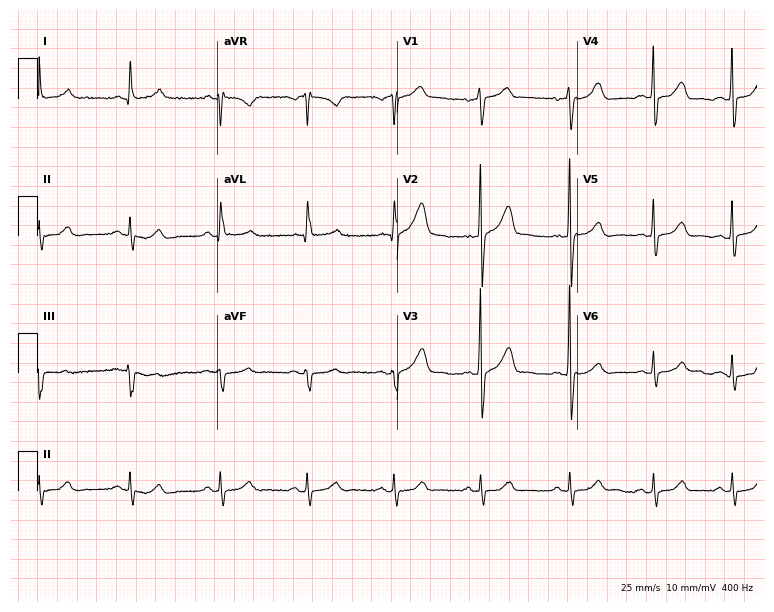
Resting 12-lead electrocardiogram. Patient: a male, 53 years old. None of these six findings is recorded: first-degree AV block, right bundle branch block, left bundle branch block, sinus bradycardia, atrial fibrillation, sinus tachycardia. Other findings, if any, are not listed.